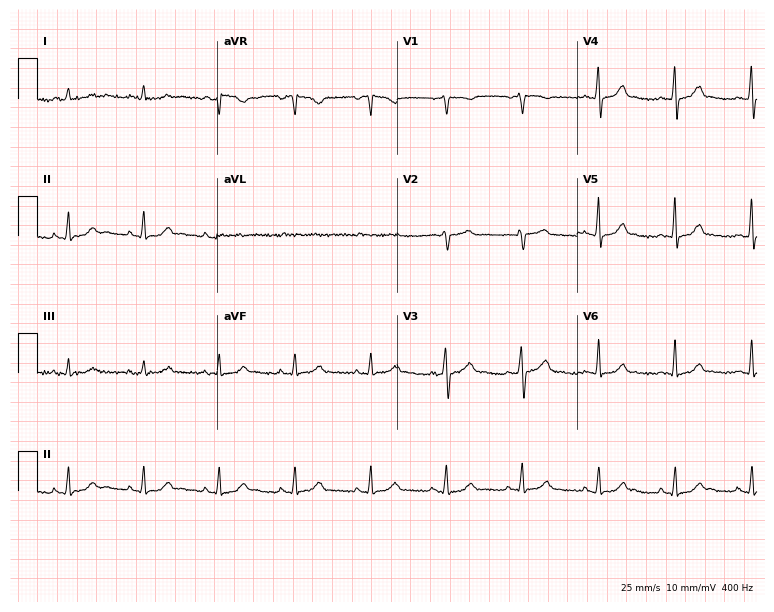
Resting 12-lead electrocardiogram. Patient: a 48-year-old male. None of these six findings is recorded: first-degree AV block, right bundle branch block, left bundle branch block, sinus bradycardia, atrial fibrillation, sinus tachycardia. Other findings, if any, are not listed.